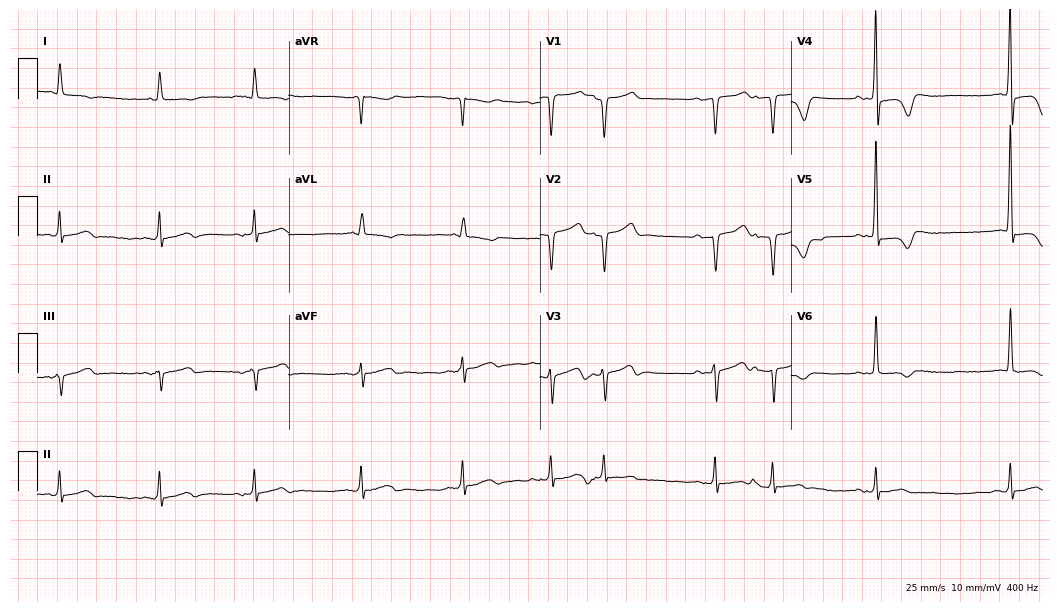
Resting 12-lead electrocardiogram (10.2-second recording at 400 Hz). Patient: a male, 80 years old. None of these six findings is recorded: first-degree AV block, right bundle branch block, left bundle branch block, sinus bradycardia, atrial fibrillation, sinus tachycardia.